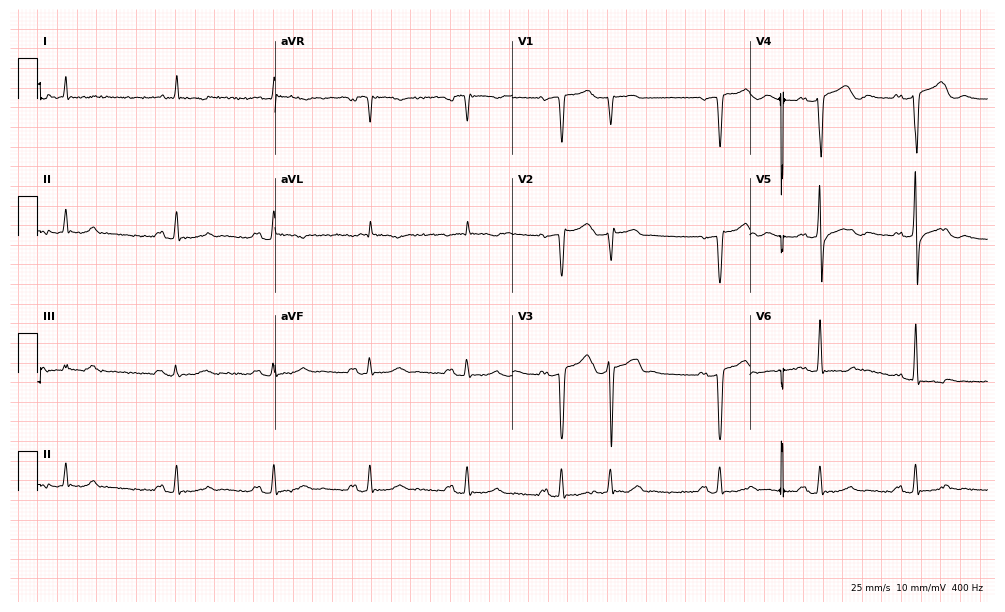
Standard 12-lead ECG recorded from a 70-year-old male patient (9.7-second recording at 400 Hz). None of these six findings is recorded: first-degree AV block, right bundle branch block (RBBB), left bundle branch block (LBBB), sinus bradycardia, atrial fibrillation (AF), sinus tachycardia.